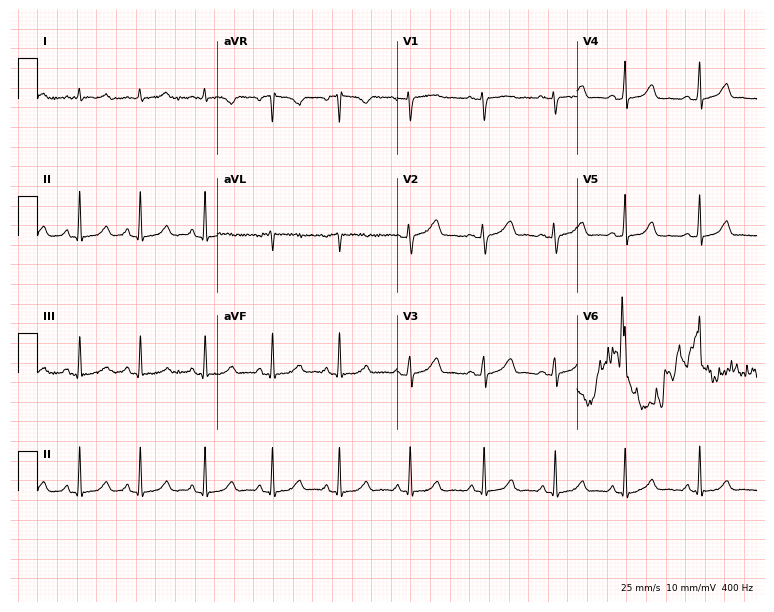
12-lead ECG from a 29-year-old female patient (7.3-second recording at 400 Hz). Recorded interpretation: within normal limits.